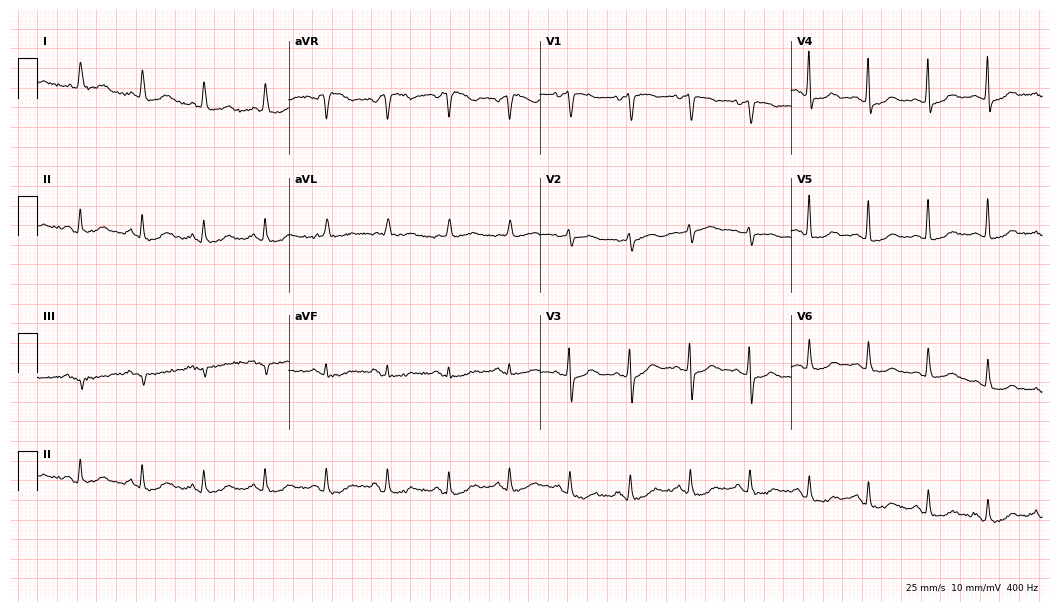
12-lead ECG (10.2-second recording at 400 Hz) from a female, 76 years old. Labelled as a normal ECG.